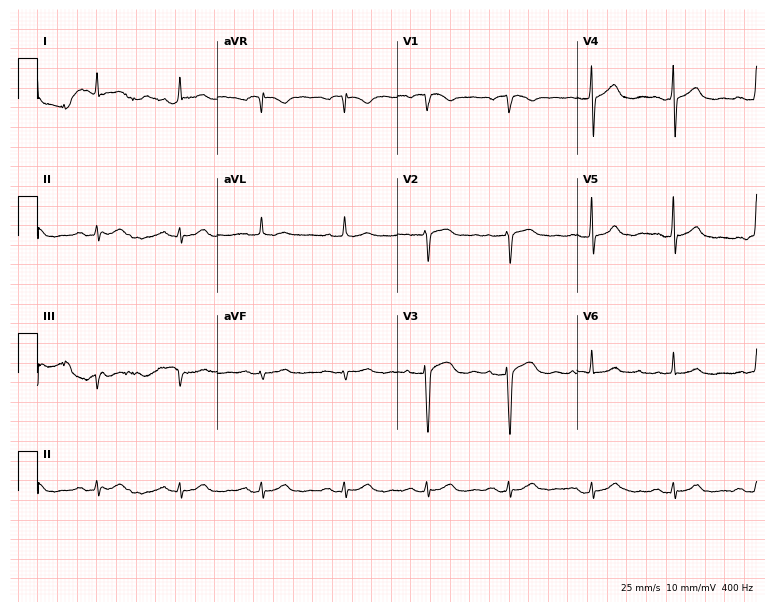
Standard 12-lead ECG recorded from a woman, 77 years old (7.3-second recording at 400 Hz). Read as a normal ECG.